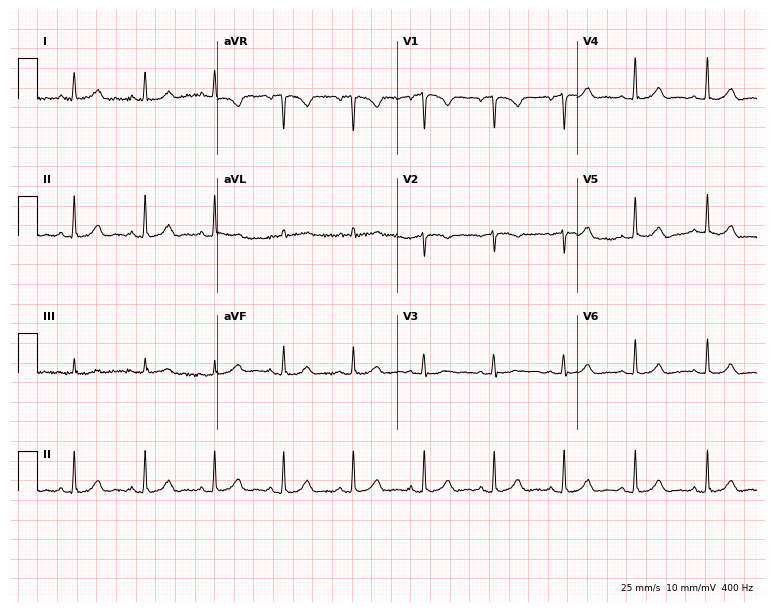
12-lead ECG (7.3-second recording at 400 Hz) from a woman, 40 years old. Screened for six findings — first-degree AV block, right bundle branch block (RBBB), left bundle branch block (LBBB), sinus bradycardia, atrial fibrillation (AF), sinus tachycardia — none is recorded.